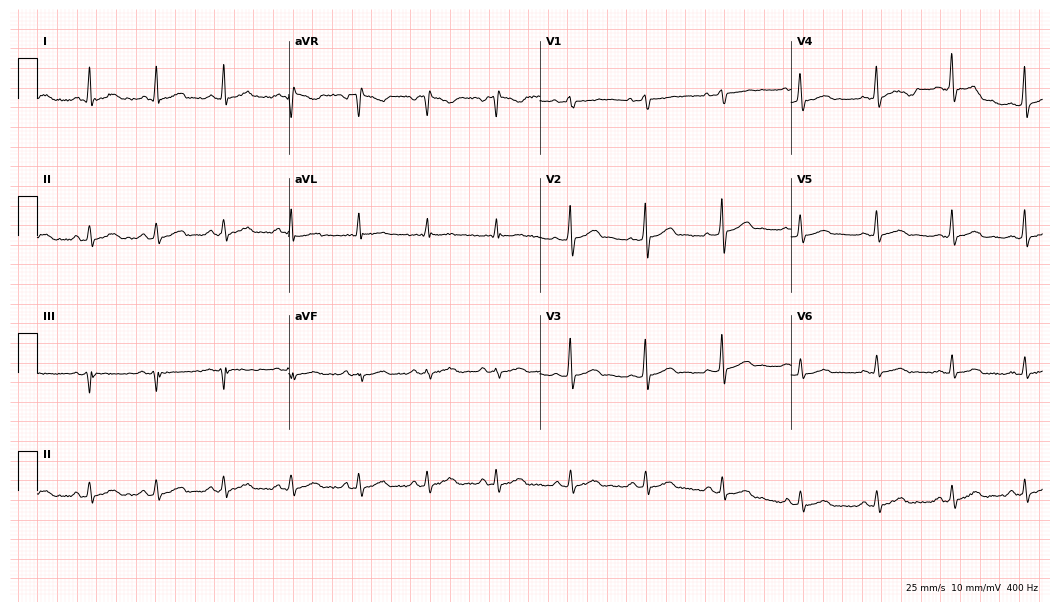
ECG — a man, 38 years old. Labelled as a normal ECG.